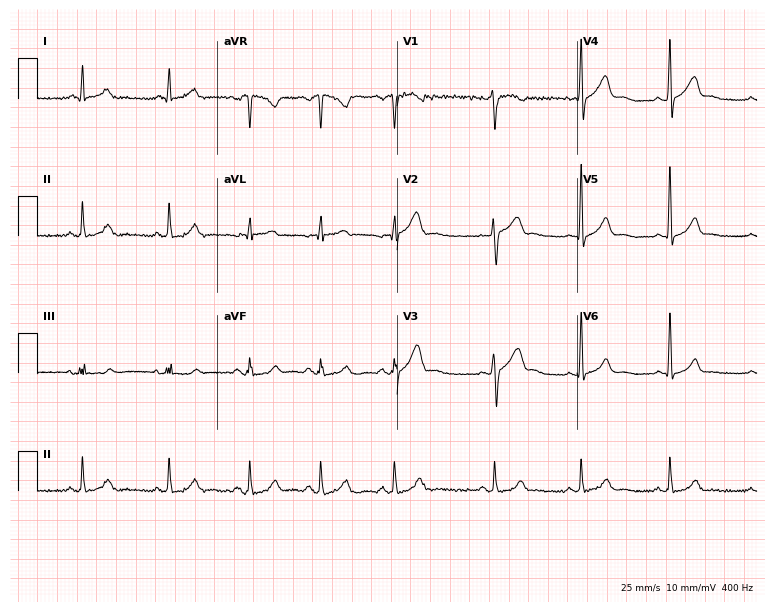
ECG — a man, 49 years old. Labelled as a normal ECG.